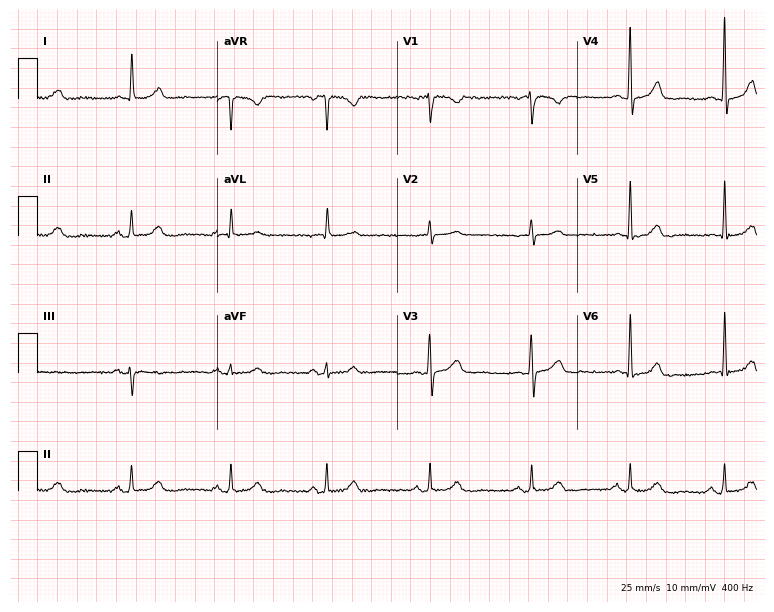
12-lead ECG from a female, 58 years old. Labelled as a normal ECG.